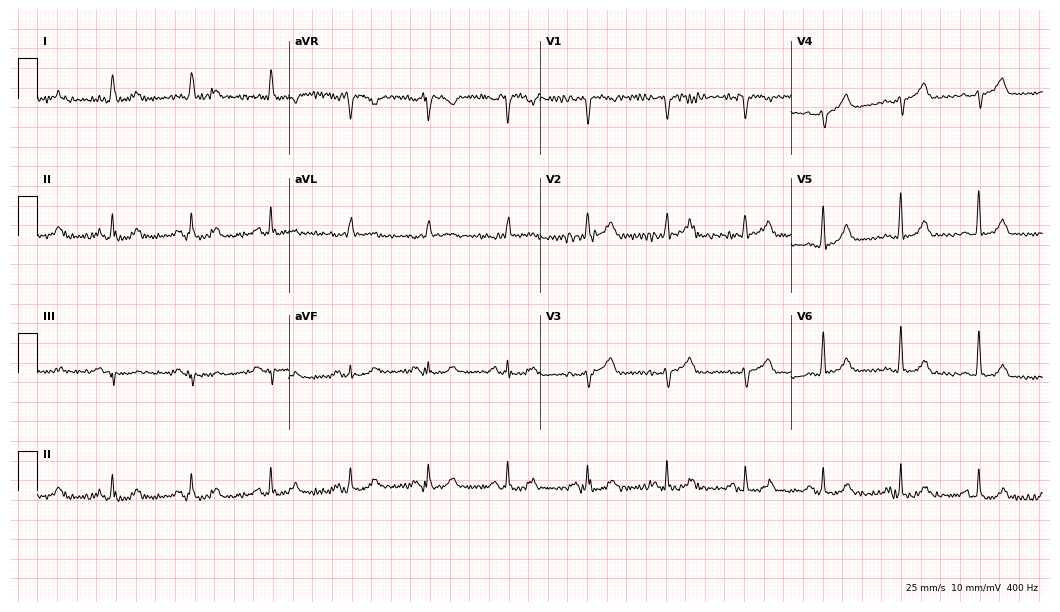
12-lead ECG (10.2-second recording at 400 Hz) from a 74-year-old woman. Screened for six findings — first-degree AV block, right bundle branch block, left bundle branch block, sinus bradycardia, atrial fibrillation, sinus tachycardia — none is recorded. Other findings, if any, are not listed.